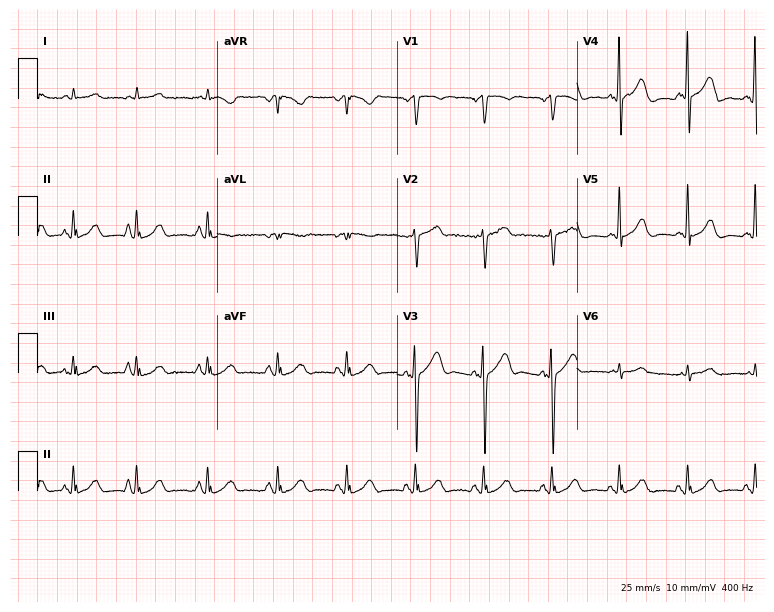
12-lead ECG from a female, 80 years old. No first-degree AV block, right bundle branch block, left bundle branch block, sinus bradycardia, atrial fibrillation or sinus tachycardia recorded for this tracing.